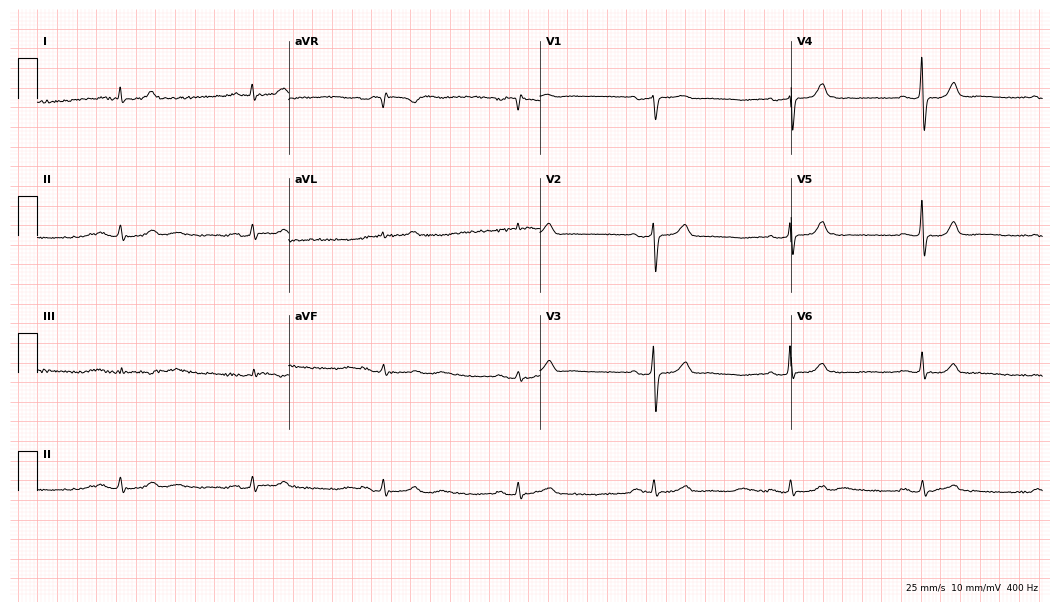
12-lead ECG from a 68-year-old male patient. Findings include sinus bradycardia (a sinus rate of 50 beats per minute or less).